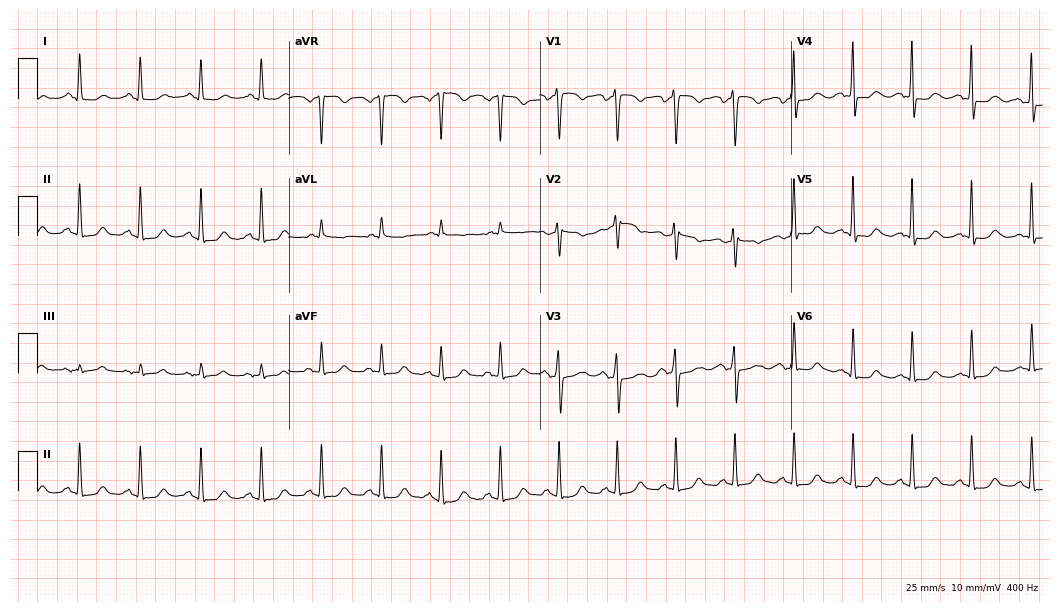
ECG (10.2-second recording at 400 Hz) — a 47-year-old woman. Screened for six findings — first-degree AV block, right bundle branch block, left bundle branch block, sinus bradycardia, atrial fibrillation, sinus tachycardia — none is recorded.